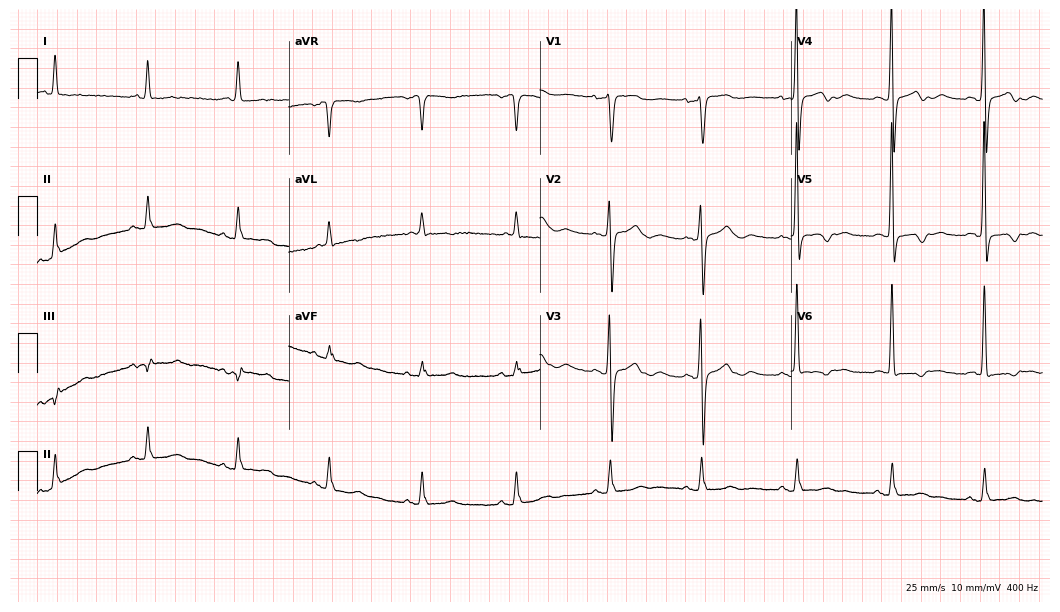
Electrocardiogram, a woman, 62 years old. Of the six screened findings (first-degree AV block, right bundle branch block, left bundle branch block, sinus bradycardia, atrial fibrillation, sinus tachycardia), none is recorded.